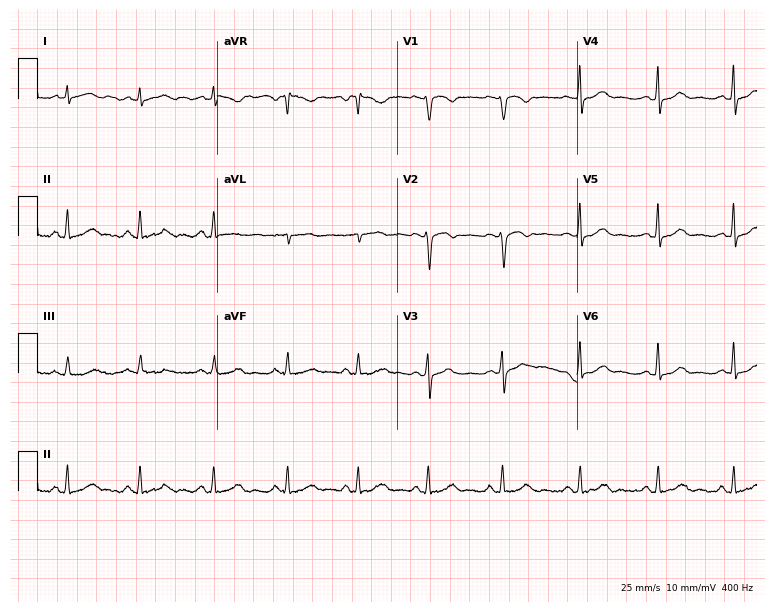
ECG (7.3-second recording at 400 Hz) — a 37-year-old woman. Labelled as a normal ECG.